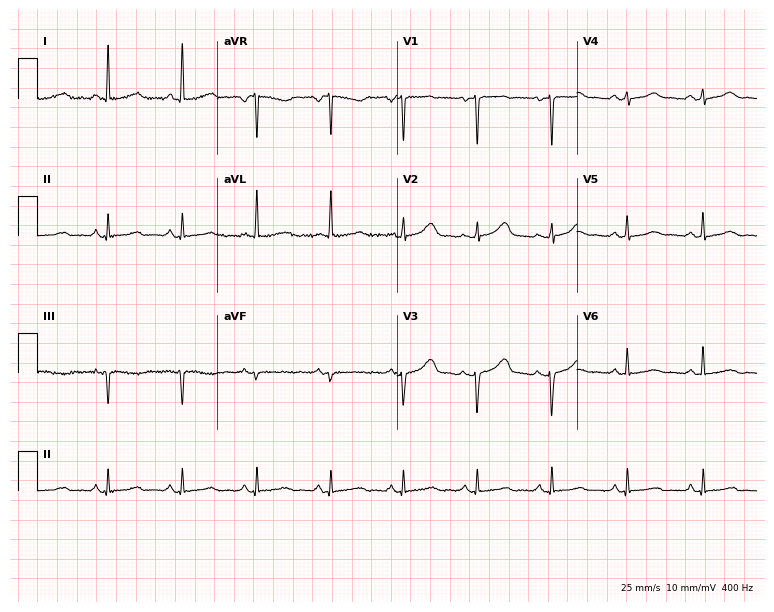
12-lead ECG from a 50-year-old female patient (7.3-second recording at 400 Hz). Recorded interpretation: within normal limits.